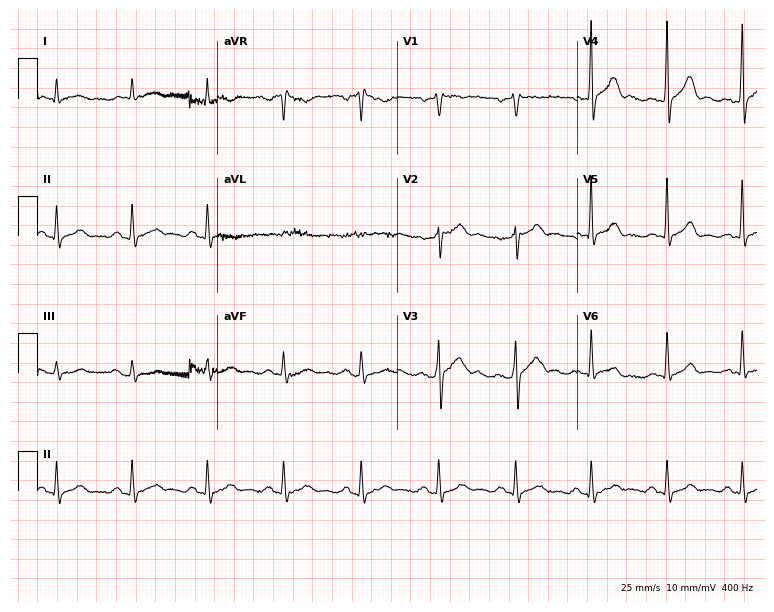
Standard 12-lead ECG recorded from a man, 40 years old (7.3-second recording at 400 Hz). Read as a normal ECG.